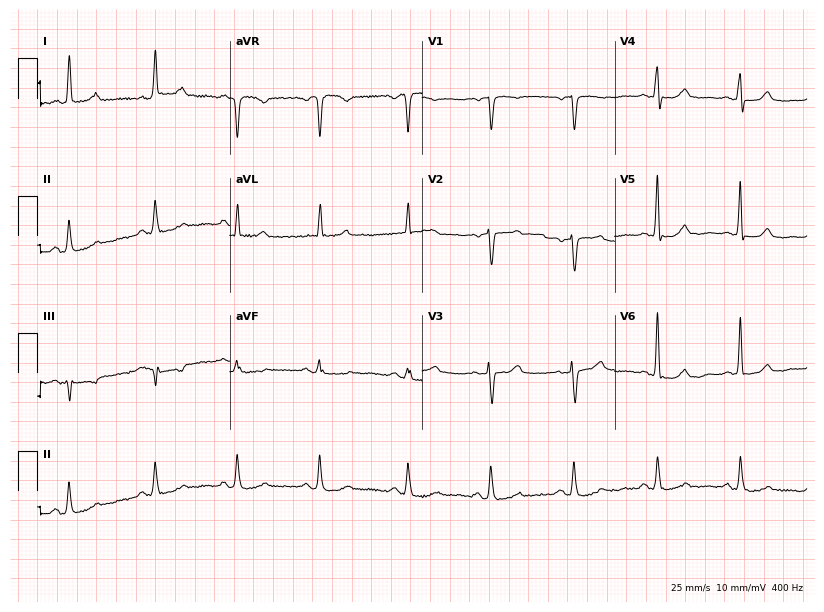
Resting 12-lead electrocardiogram. Patient: a 68-year-old female. None of these six findings is recorded: first-degree AV block, right bundle branch block, left bundle branch block, sinus bradycardia, atrial fibrillation, sinus tachycardia.